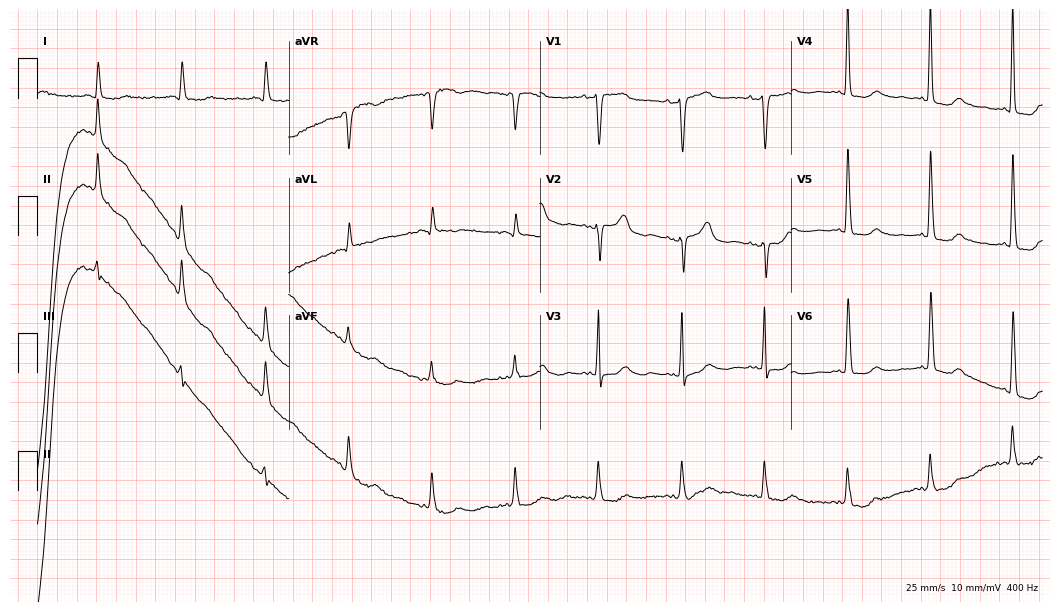
Resting 12-lead electrocardiogram. Patient: a female, 85 years old. None of these six findings is recorded: first-degree AV block, right bundle branch block, left bundle branch block, sinus bradycardia, atrial fibrillation, sinus tachycardia.